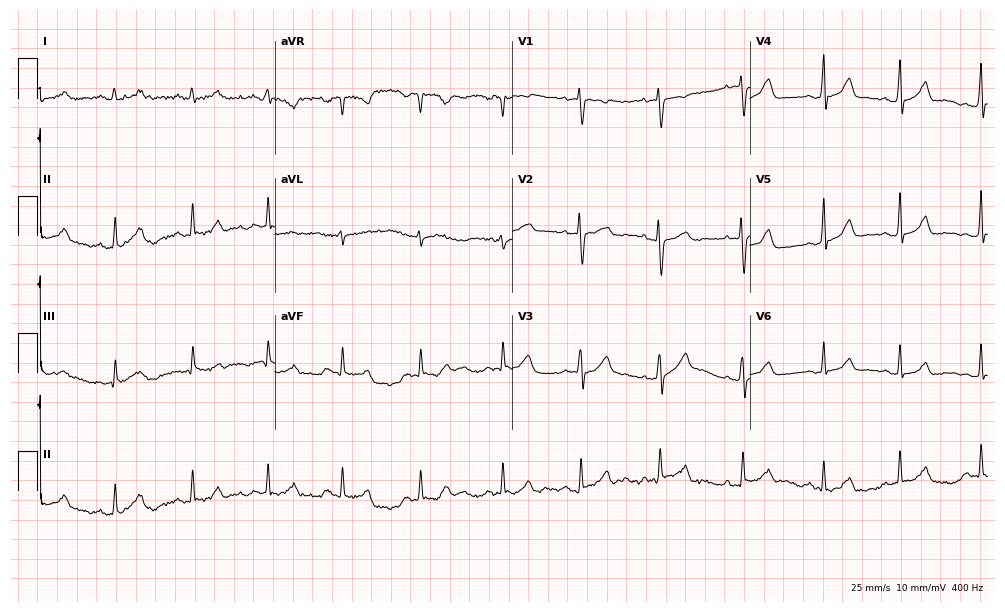
ECG — a female patient, 34 years old. Labelled as a normal ECG.